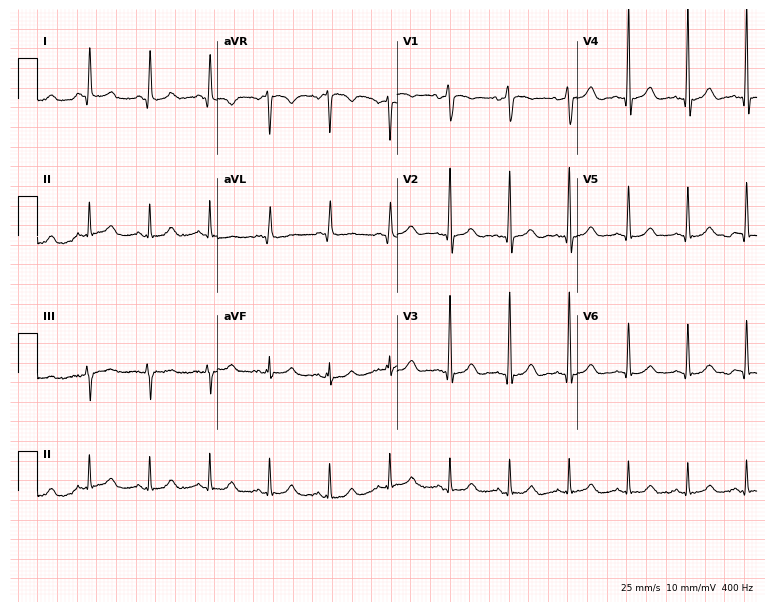
12-lead ECG from a woman, 63 years old (7.3-second recording at 400 Hz). Recorded interpretation: within normal limits.